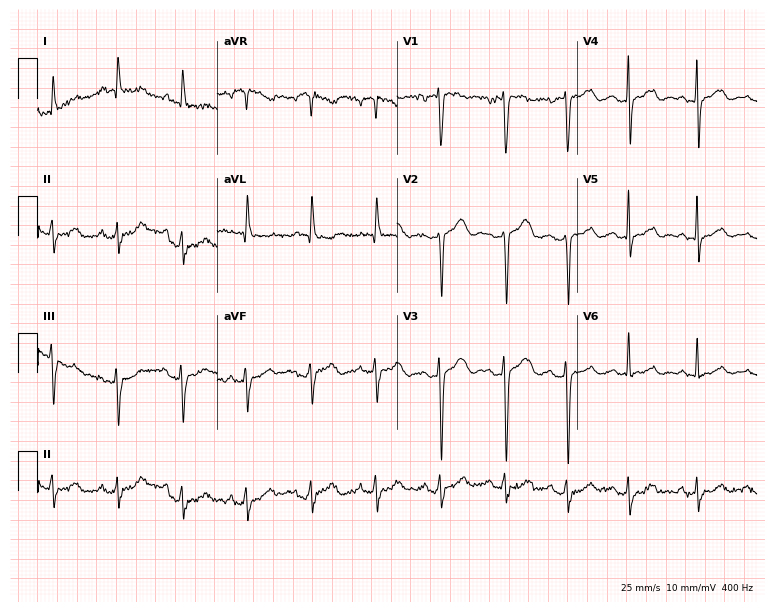
12-lead ECG from a female, 85 years old. No first-degree AV block, right bundle branch block, left bundle branch block, sinus bradycardia, atrial fibrillation or sinus tachycardia recorded for this tracing.